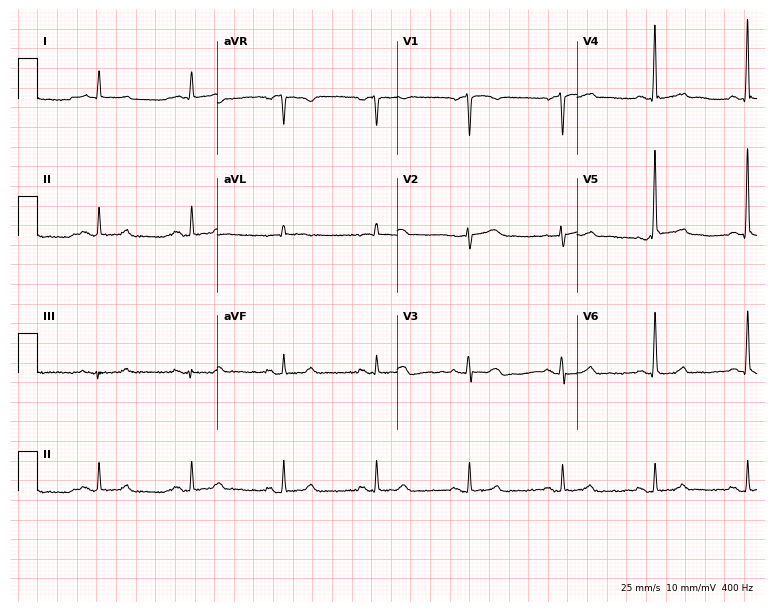
12-lead ECG from a male patient, 80 years old. No first-degree AV block, right bundle branch block (RBBB), left bundle branch block (LBBB), sinus bradycardia, atrial fibrillation (AF) or sinus tachycardia recorded for this tracing.